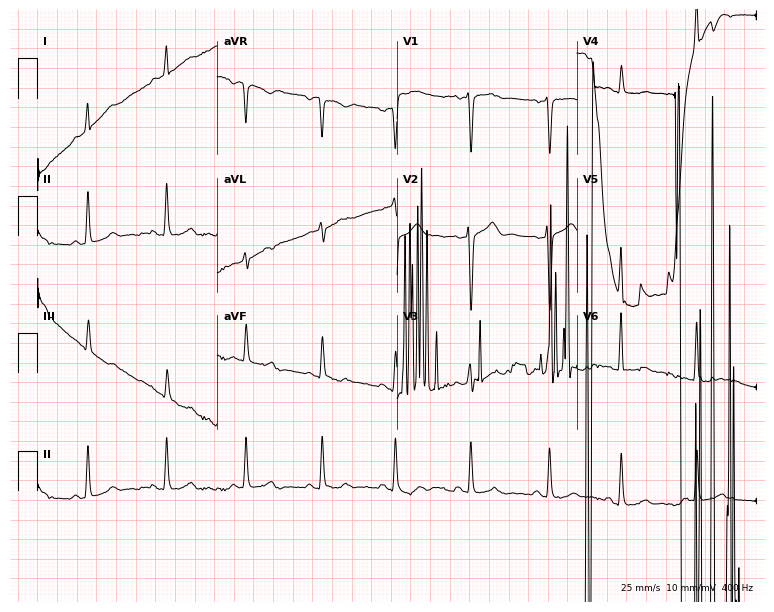
Resting 12-lead electrocardiogram. Patient: a man, 30 years old. None of these six findings is recorded: first-degree AV block, right bundle branch block (RBBB), left bundle branch block (LBBB), sinus bradycardia, atrial fibrillation (AF), sinus tachycardia. Only these six findings were labelled.